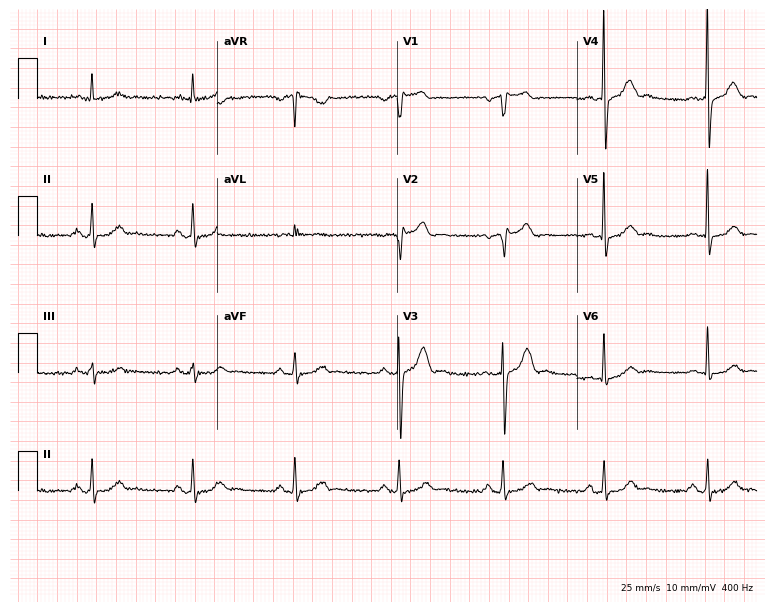
ECG — a 50-year-old male. Screened for six findings — first-degree AV block, right bundle branch block, left bundle branch block, sinus bradycardia, atrial fibrillation, sinus tachycardia — none is recorded. Other findings, if any, are not listed.